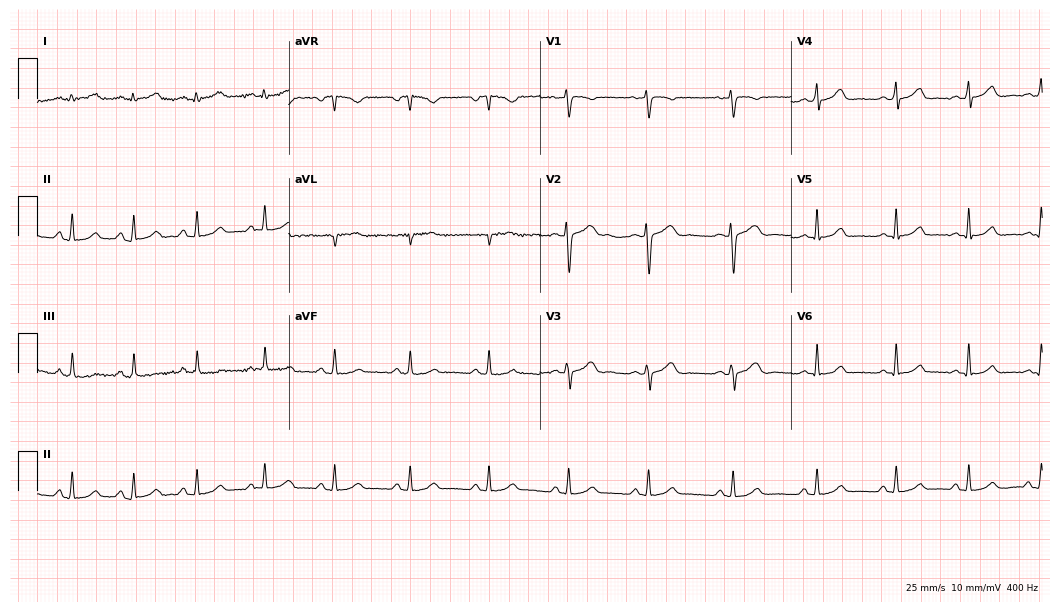
Resting 12-lead electrocardiogram (10.2-second recording at 400 Hz). Patient: a 28-year-old female. Read as a normal ECG.